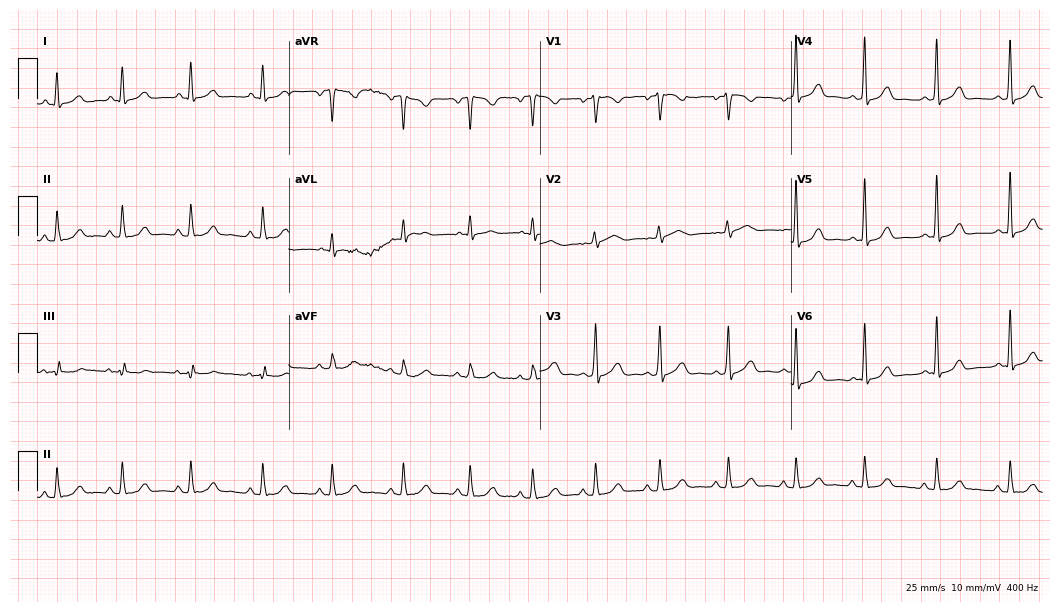
Resting 12-lead electrocardiogram. Patient: a female, 38 years old. Read as a normal ECG.